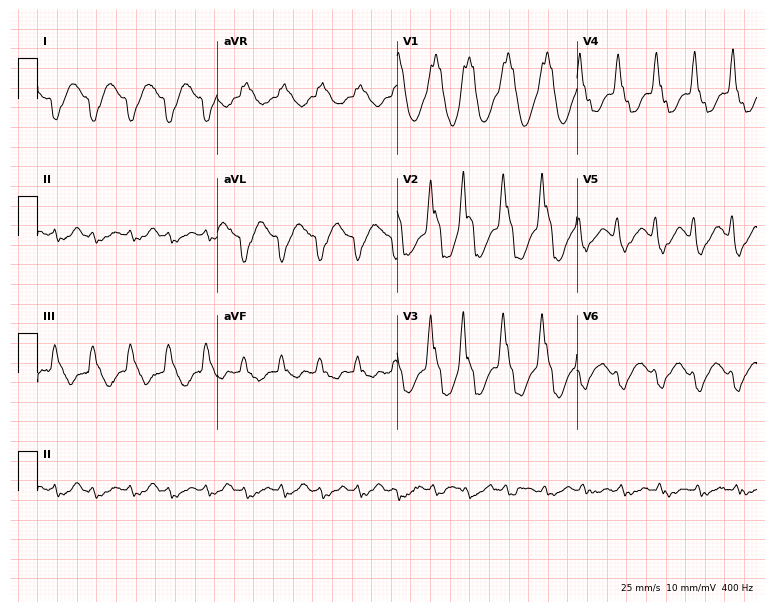
Standard 12-lead ECG recorded from a man, 61 years old (7.3-second recording at 400 Hz). None of these six findings is recorded: first-degree AV block, right bundle branch block, left bundle branch block, sinus bradycardia, atrial fibrillation, sinus tachycardia. Only these six findings were labelled.